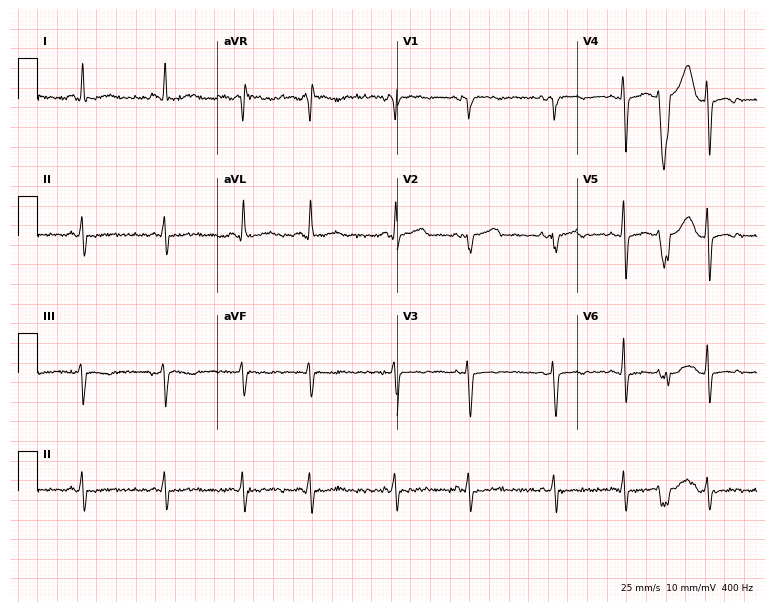
Resting 12-lead electrocardiogram (7.3-second recording at 400 Hz). Patient: a 37-year-old female. None of these six findings is recorded: first-degree AV block, right bundle branch block, left bundle branch block, sinus bradycardia, atrial fibrillation, sinus tachycardia.